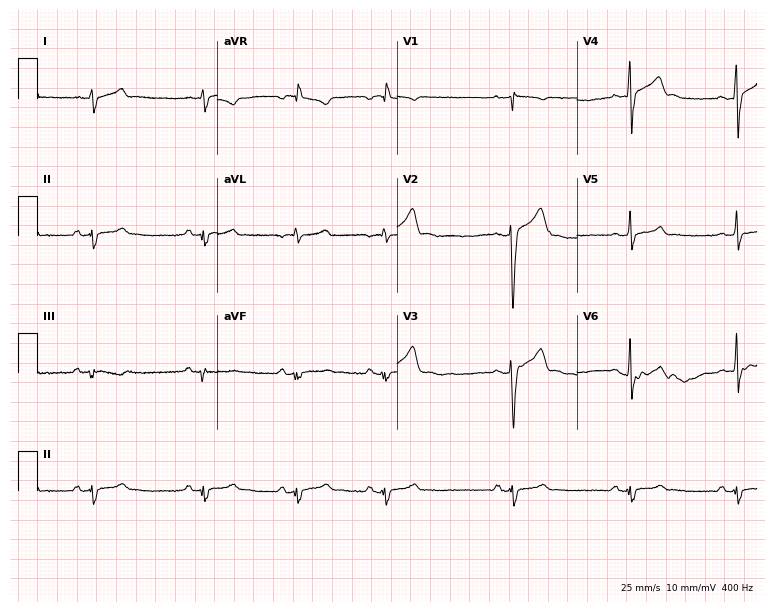
12-lead ECG (7.3-second recording at 400 Hz) from a man, 19 years old. Screened for six findings — first-degree AV block, right bundle branch block, left bundle branch block, sinus bradycardia, atrial fibrillation, sinus tachycardia — none is recorded.